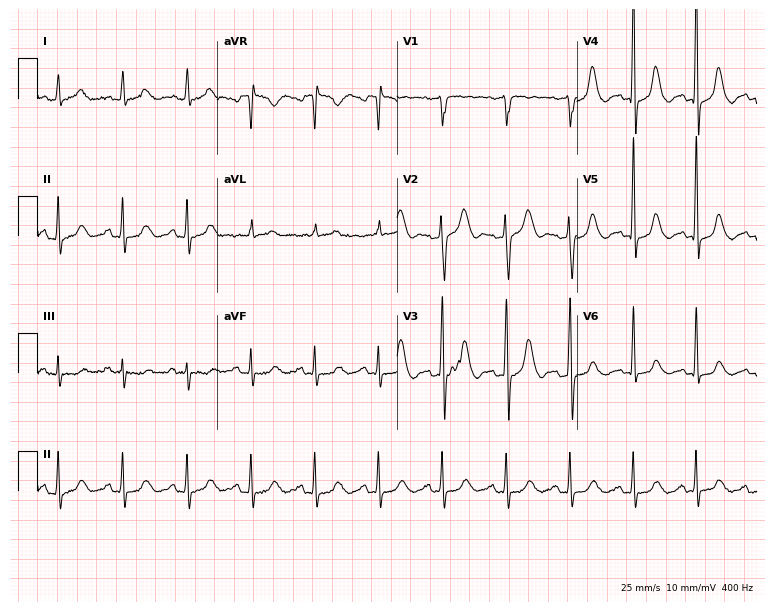
ECG — a 77-year-old female patient. Labelled as a normal ECG.